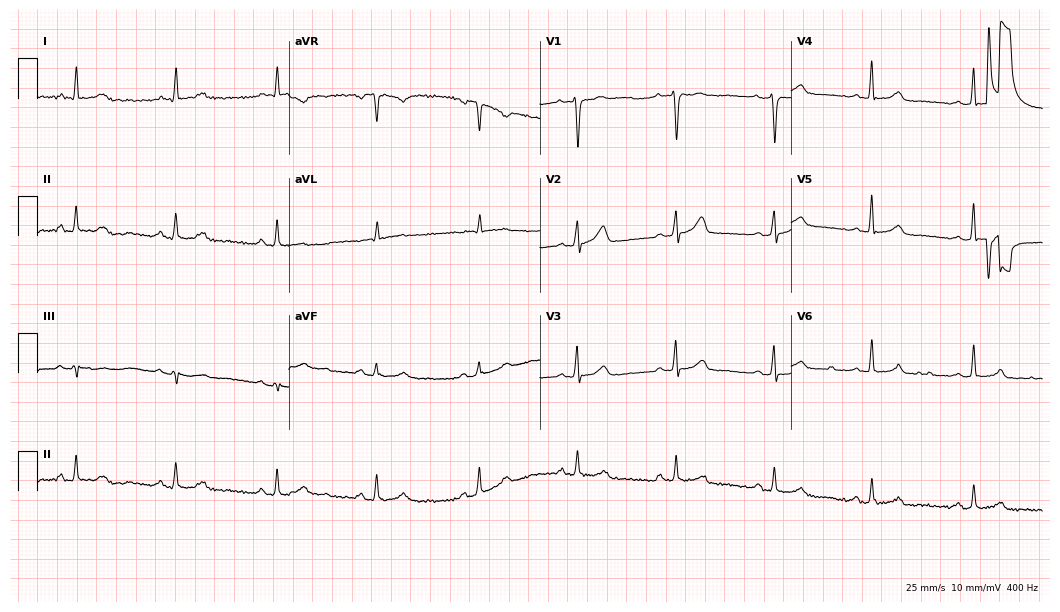
Standard 12-lead ECG recorded from a female patient, 37 years old. None of these six findings is recorded: first-degree AV block, right bundle branch block, left bundle branch block, sinus bradycardia, atrial fibrillation, sinus tachycardia.